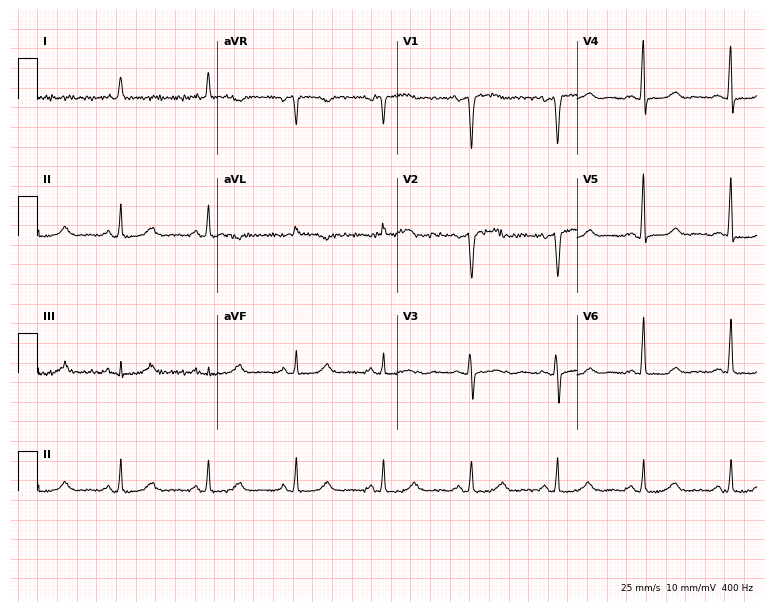
Standard 12-lead ECG recorded from a woman, 52 years old (7.3-second recording at 400 Hz). None of these six findings is recorded: first-degree AV block, right bundle branch block, left bundle branch block, sinus bradycardia, atrial fibrillation, sinus tachycardia. Only these six findings were labelled.